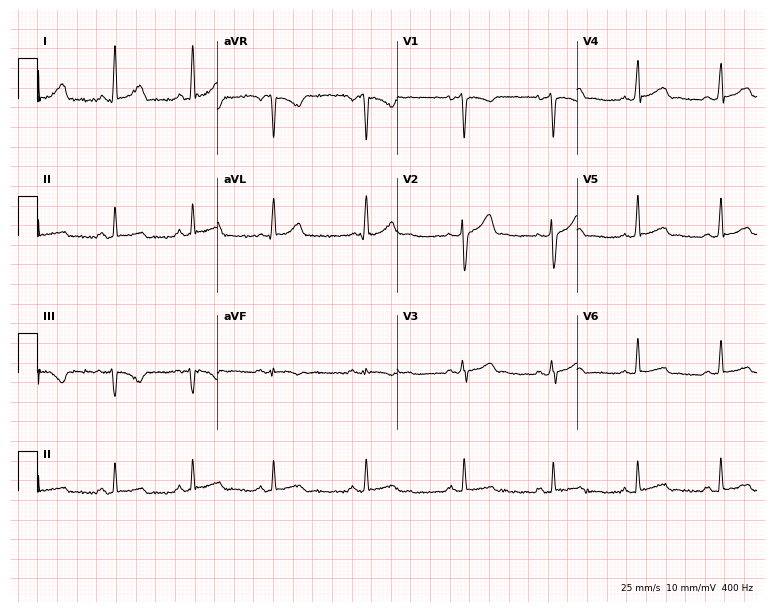
12-lead ECG from a 26-year-old man. Labelled as a normal ECG.